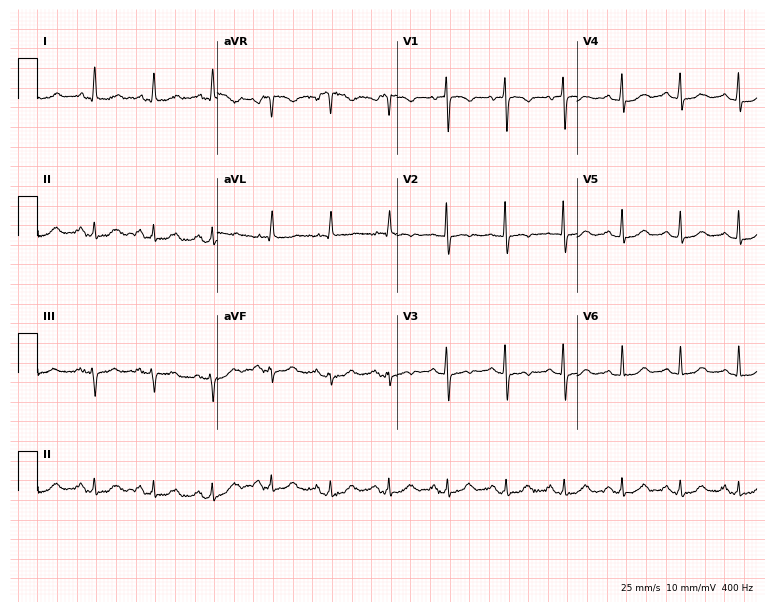
12-lead ECG from a 77-year-old woman. No first-degree AV block, right bundle branch block, left bundle branch block, sinus bradycardia, atrial fibrillation or sinus tachycardia recorded for this tracing. Only these six findings were labelled.